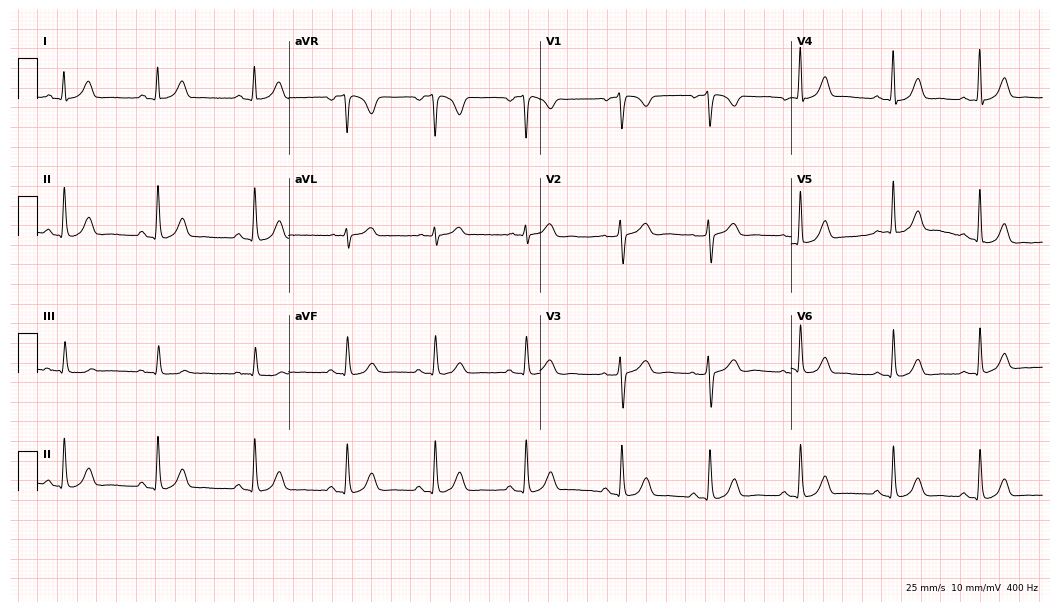
ECG — a 39-year-old female. Labelled as a normal ECG.